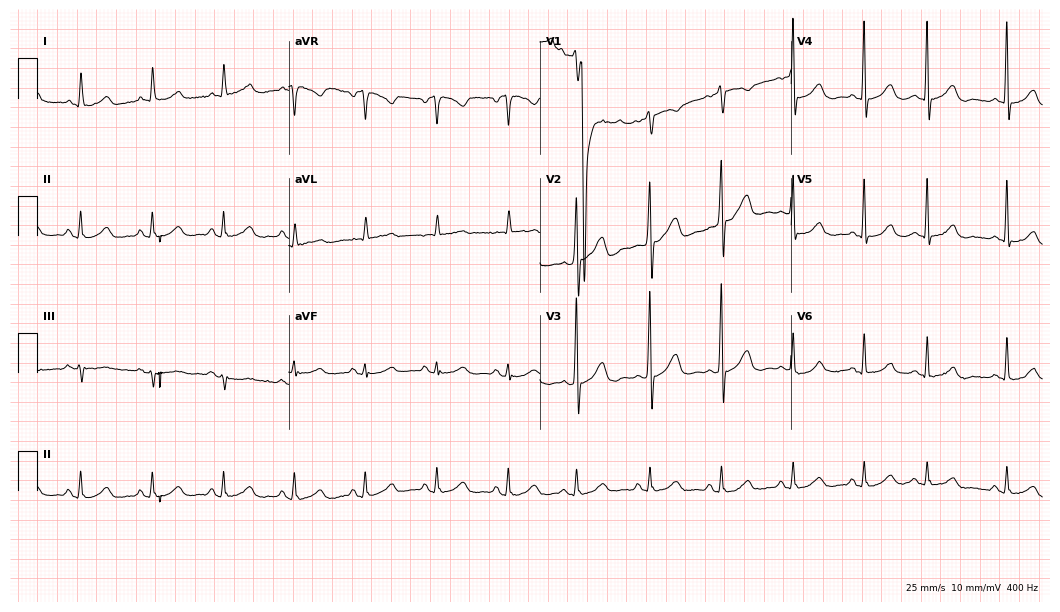
12-lead ECG from a 73-year-old female patient (10.2-second recording at 400 Hz). Recorded interpretation: within normal limits.